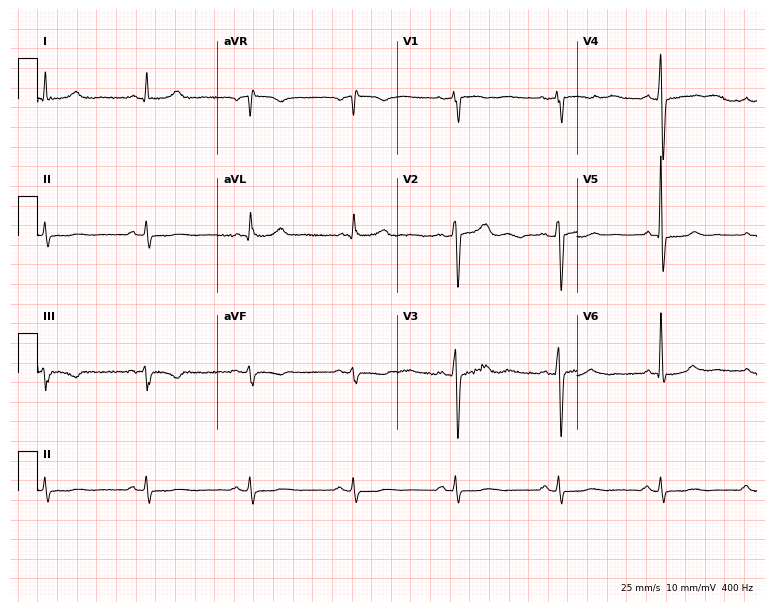
12-lead ECG (7.3-second recording at 400 Hz) from a male patient, 56 years old. Screened for six findings — first-degree AV block, right bundle branch block (RBBB), left bundle branch block (LBBB), sinus bradycardia, atrial fibrillation (AF), sinus tachycardia — none is recorded.